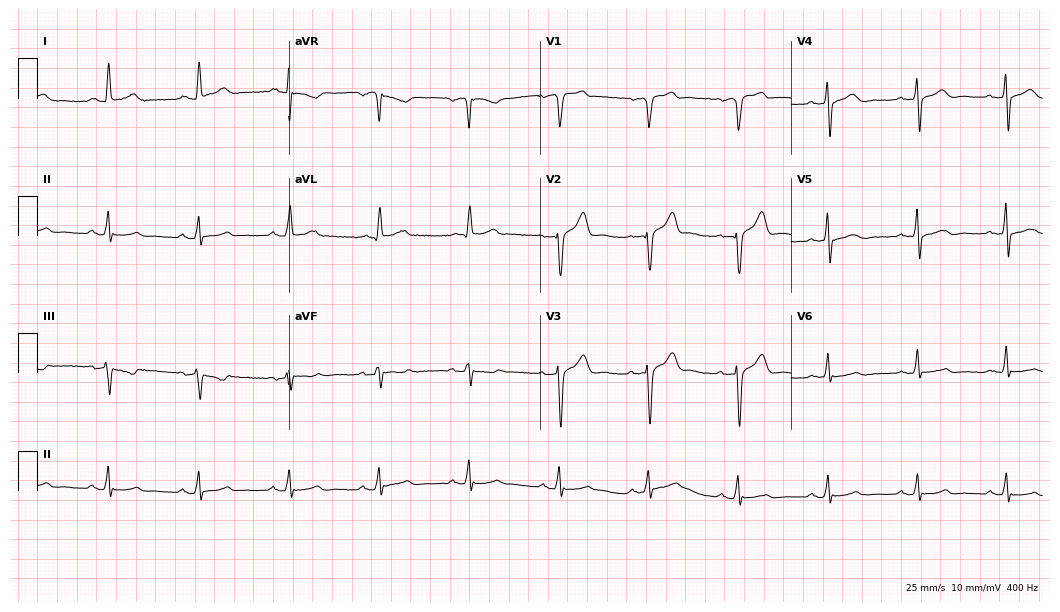
Resting 12-lead electrocardiogram. Patient: a 54-year-old female. Read as a normal ECG.